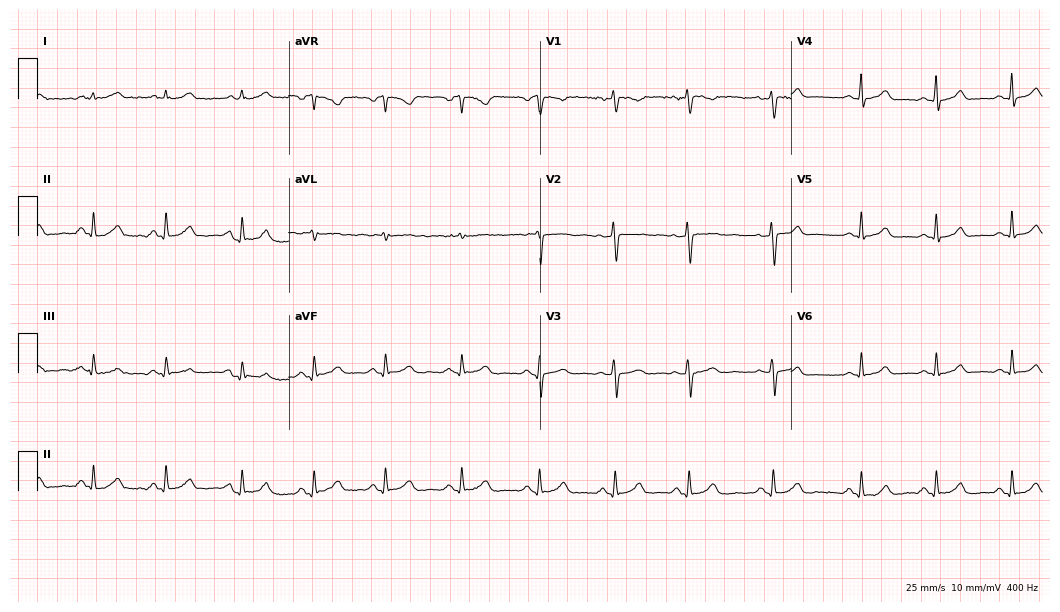
Electrocardiogram (10.2-second recording at 400 Hz), a 37-year-old female. Overall reading on record: normal ECG.